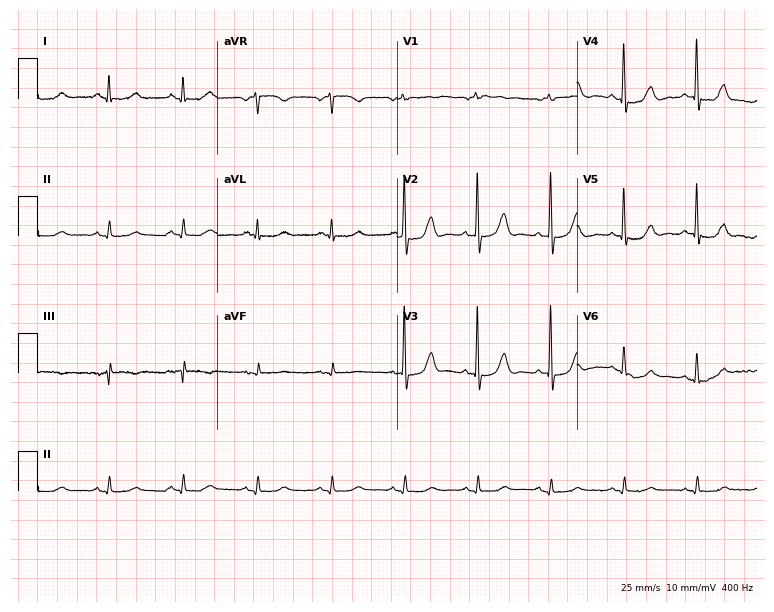
ECG (7.3-second recording at 400 Hz) — a male patient, 77 years old. Screened for six findings — first-degree AV block, right bundle branch block, left bundle branch block, sinus bradycardia, atrial fibrillation, sinus tachycardia — none is recorded.